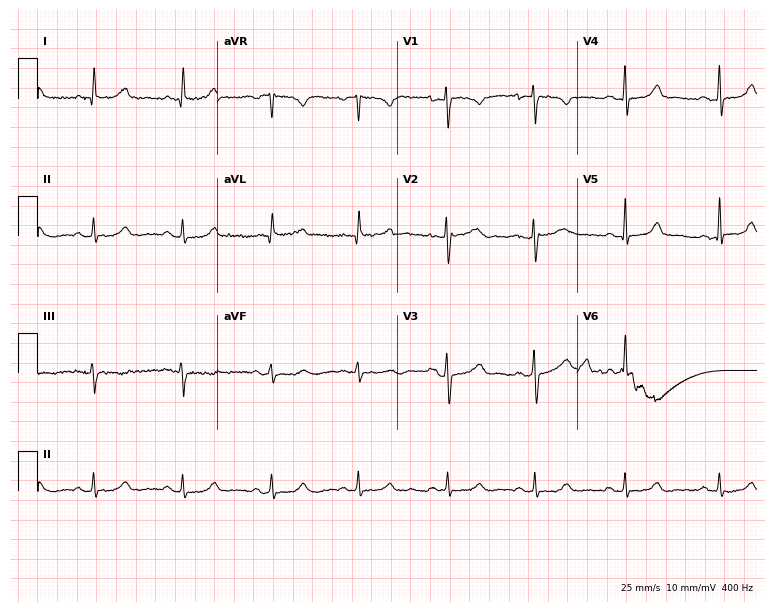
12-lead ECG from a 39-year-old female (7.3-second recording at 400 Hz). Recorded interpretation: within normal limits.